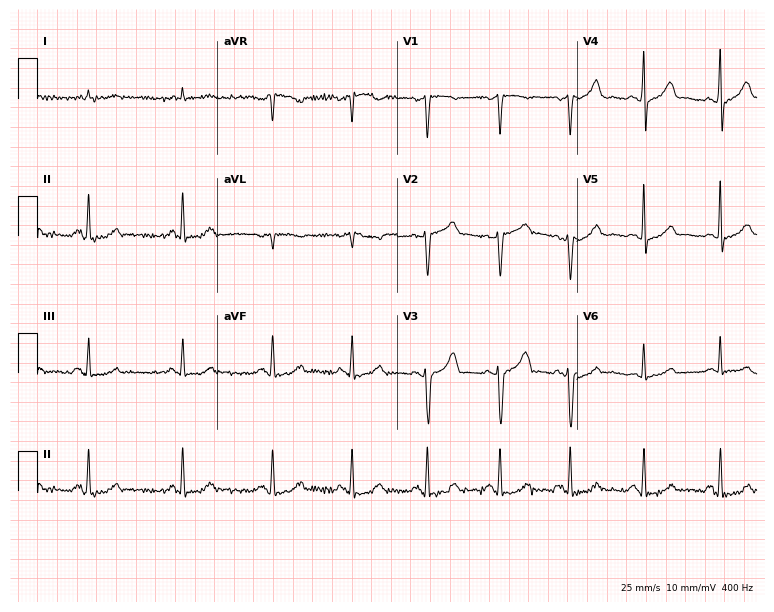
Standard 12-lead ECG recorded from a man, 47 years old. Read as a normal ECG.